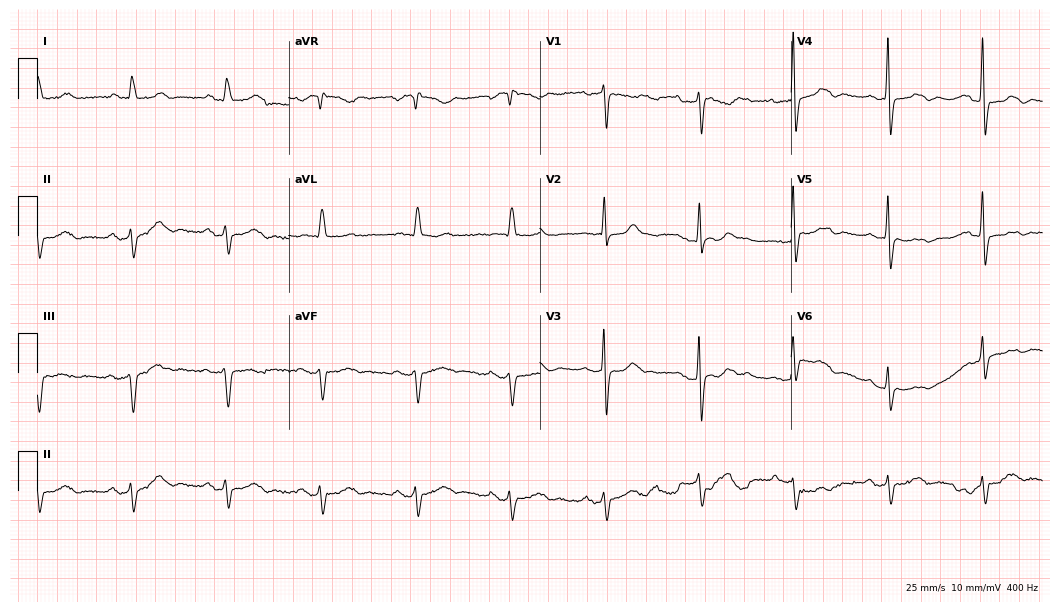
Standard 12-lead ECG recorded from a 74-year-old female patient. None of these six findings is recorded: first-degree AV block, right bundle branch block, left bundle branch block, sinus bradycardia, atrial fibrillation, sinus tachycardia. Findings outside these six are not listed.